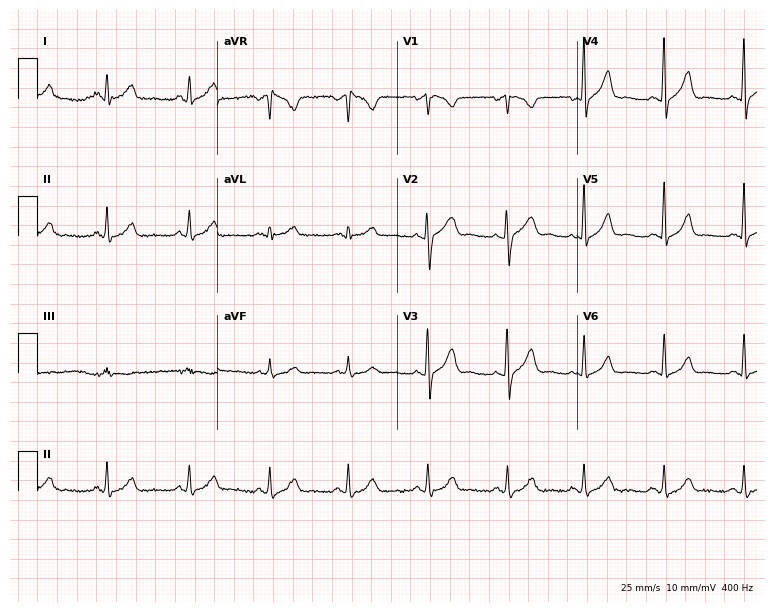
Standard 12-lead ECG recorded from a female, 23 years old. None of these six findings is recorded: first-degree AV block, right bundle branch block (RBBB), left bundle branch block (LBBB), sinus bradycardia, atrial fibrillation (AF), sinus tachycardia.